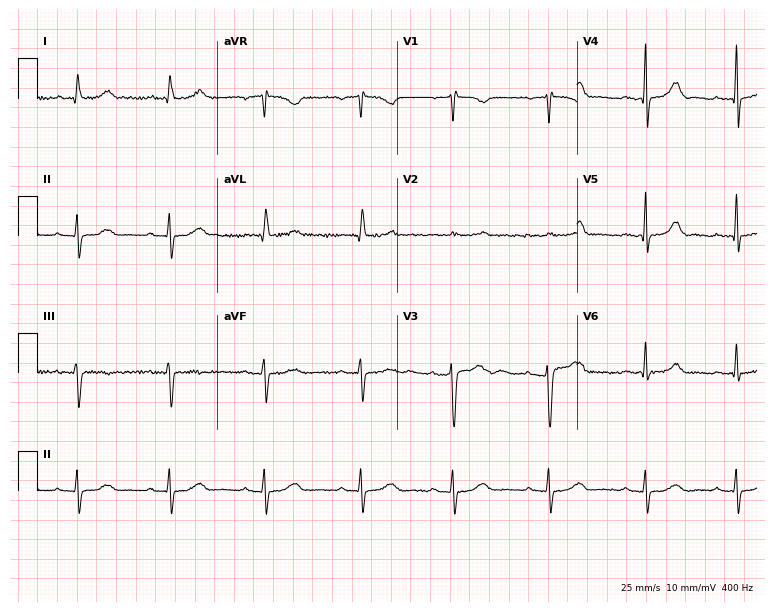
ECG (7.3-second recording at 400 Hz) — a female, 40 years old. Screened for six findings — first-degree AV block, right bundle branch block, left bundle branch block, sinus bradycardia, atrial fibrillation, sinus tachycardia — none is recorded. Other findings, if any, are not listed.